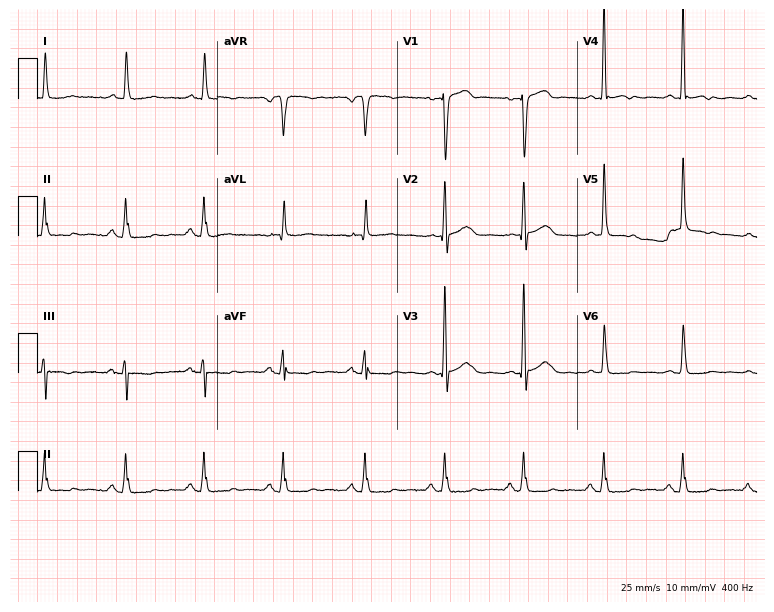
12-lead ECG from a 68-year-old female patient. Screened for six findings — first-degree AV block, right bundle branch block, left bundle branch block, sinus bradycardia, atrial fibrillation, sinus tachycardia — none is recorded.